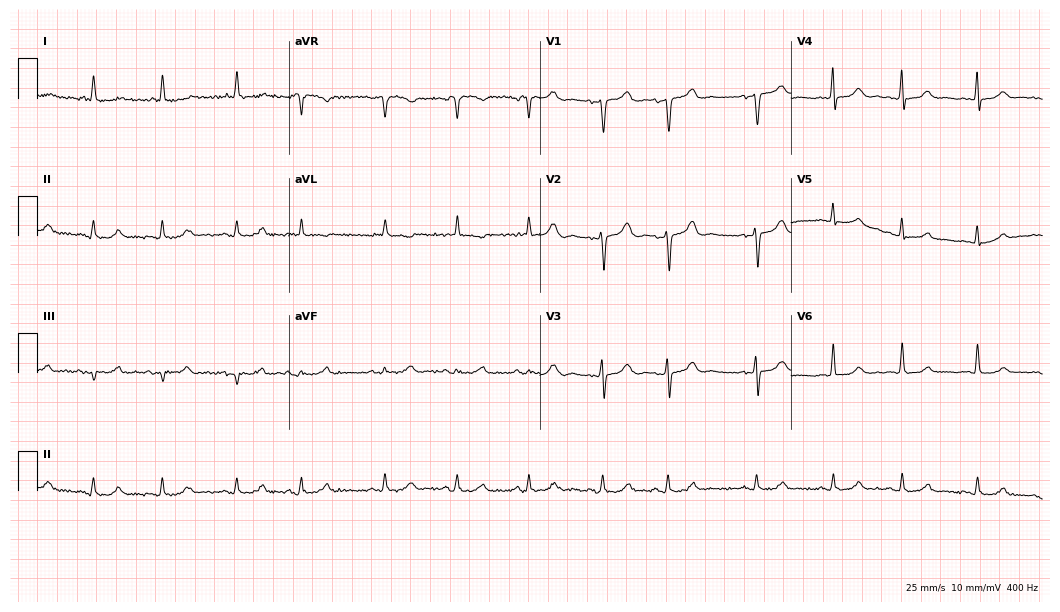
ECG — an 81-year-old female. Screened for six findings — first-degree AV block, right bundle branch block, left bundle branch block, sinus bradycardia, atrial fibrillation, sinus tachycardia — none is recorded. Only these six findings were labelled.